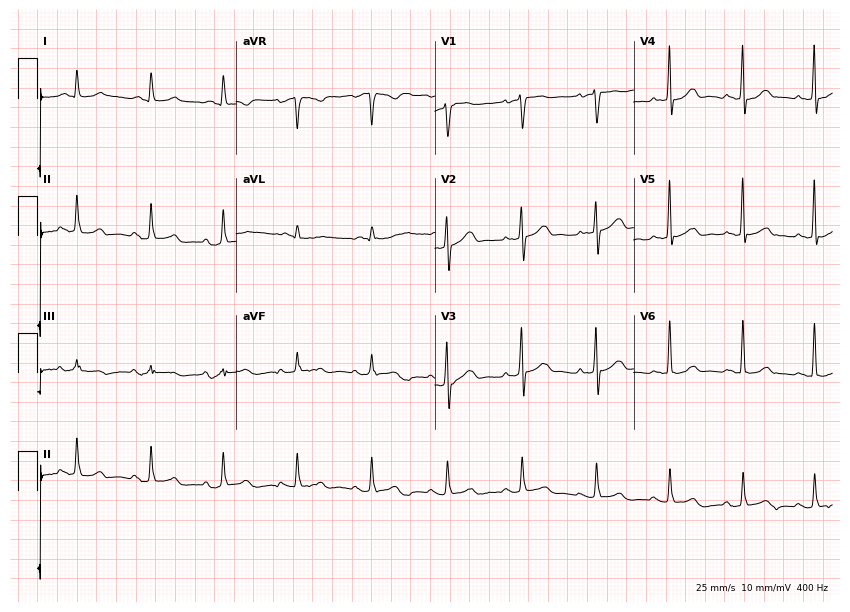
Electrocardiogram, a man, 81 years old. Overall reading on record: normal ECG.